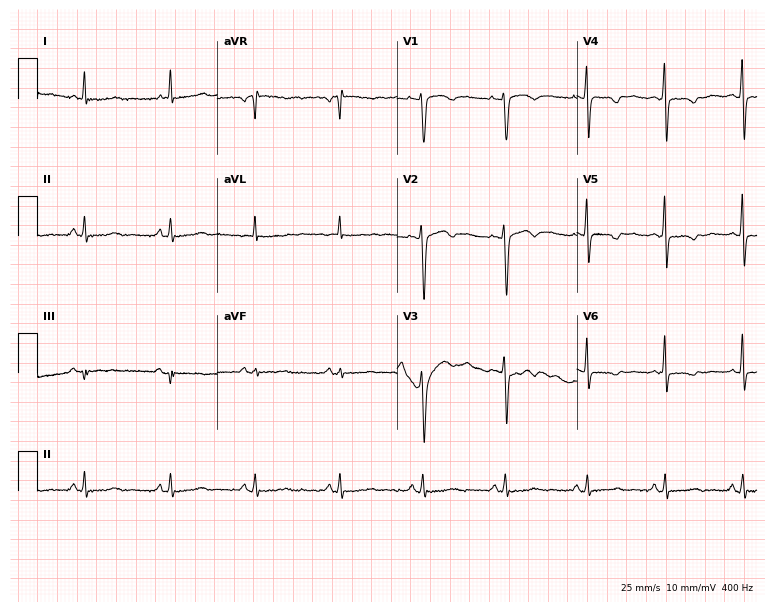
Resting 12-lead electrocardiogram (7.3-second recording at 400 Hz). Patient: a female, 47 years old. None of these six findings is recorded: first-degree AV block, right bundle branch block, left bundle branch block, sinus bradycardia, atrial fibrillation, sinus tachycardia. Findings outside these six are not listed.